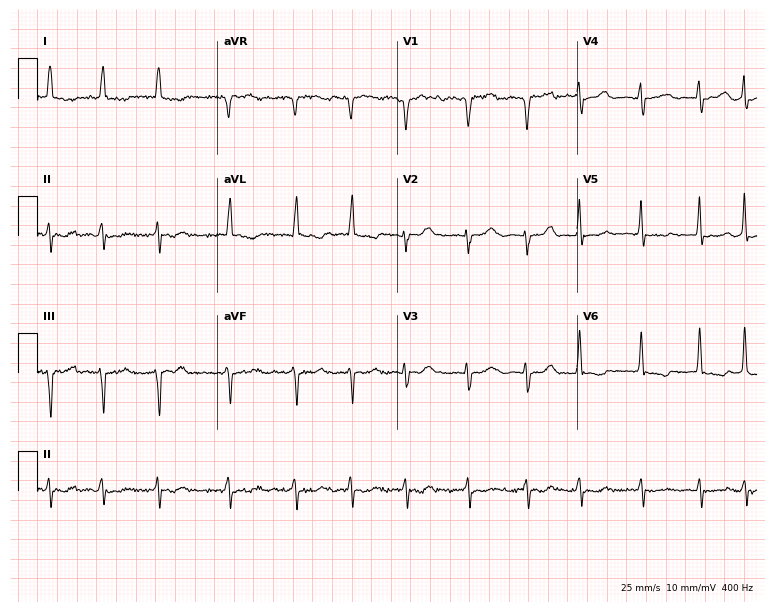
Resting 12-lead electrocardiogram. Patient: a woman, 58 years old. The tracing shows atrial fibrillation.